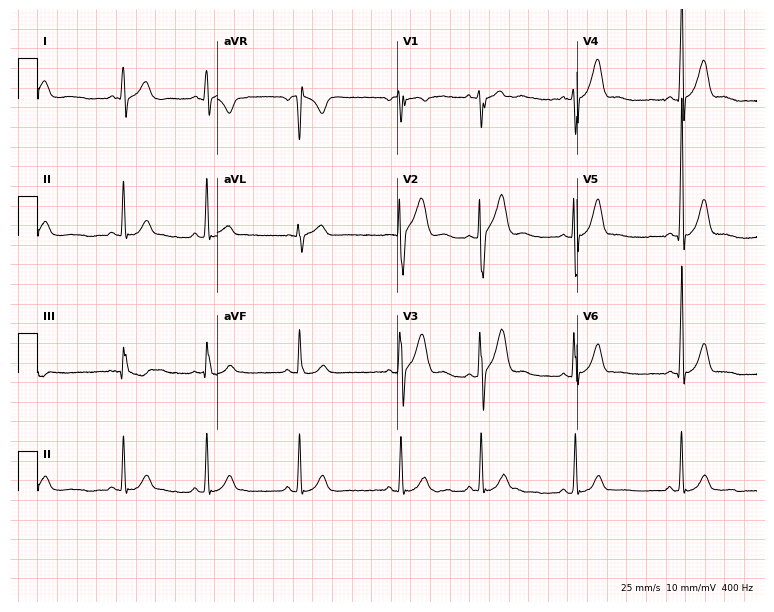
12-lead ECG from a 21-year-old male patient (7.3-second recording at 400 Hz). No first-degree AV block, right bundle branch block, left bundle branch block, sinus bradycardia, atrial fibrillation or sinus tachycardia recorded for this tracing. Other findings, if any, are not listed.